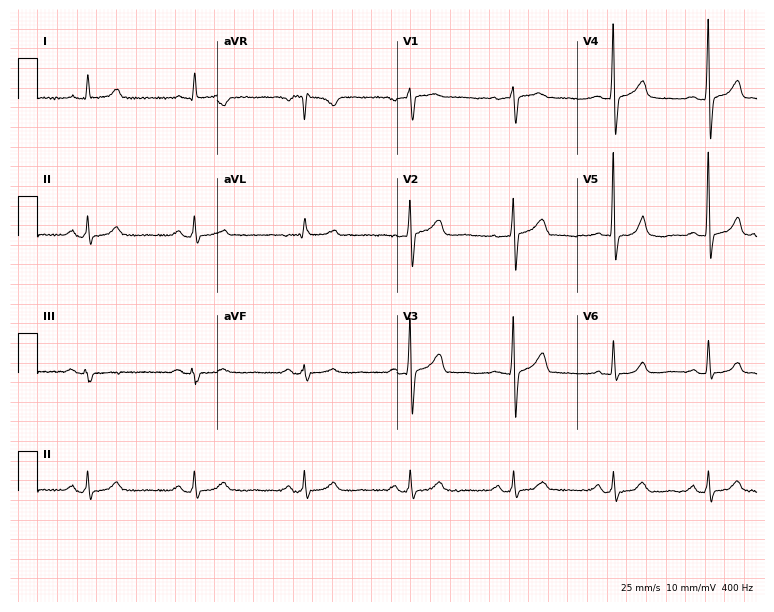
12-lead ECG (7.3-second recording at 400 Hz) from a woman, 52 years old. Labelled as a normal ECG.